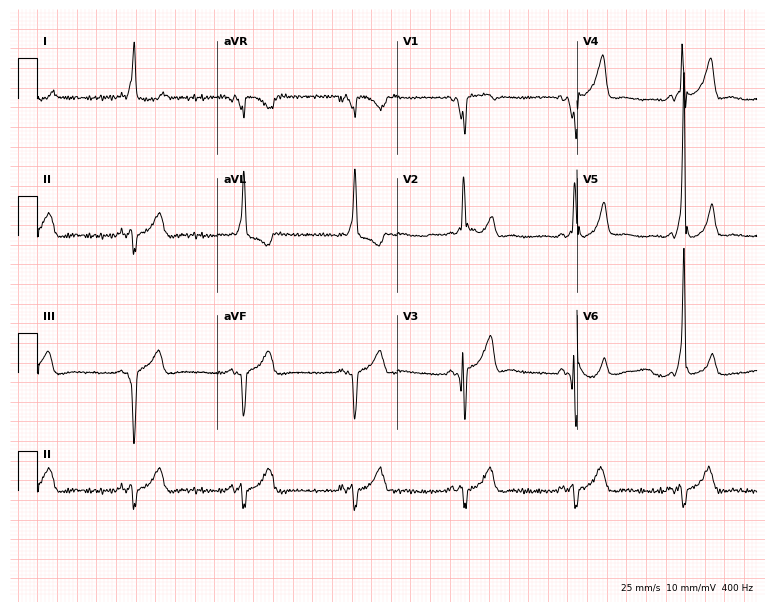
ECG (7.3-second recording at 400 Hz) — a man, 65 years old. Screened for six findings — first-degree AV block, right bundle branch block, left bundle branch block, sinus bradycardia, atrial fibrillation, sinus tachycardia — none is recorded. Only these six findings were labelled.